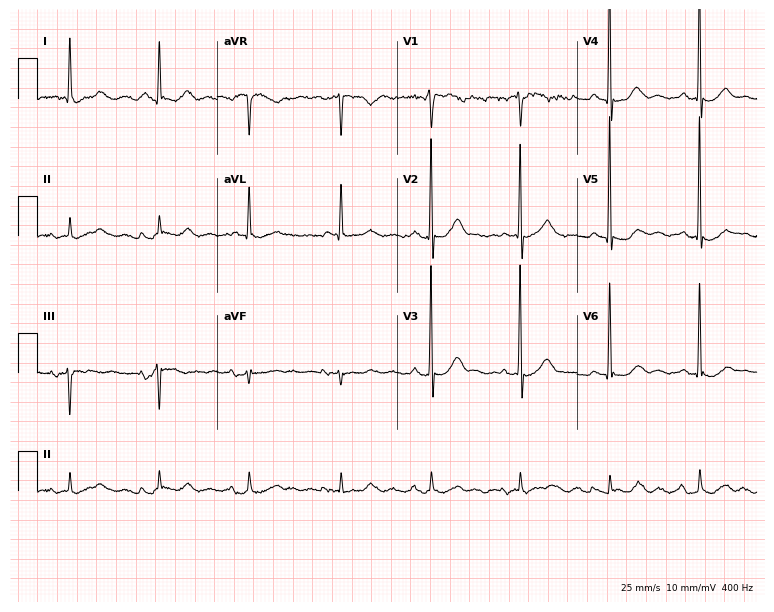
ECG — a male patient, 84 years old. Labelled as a normal ECG.